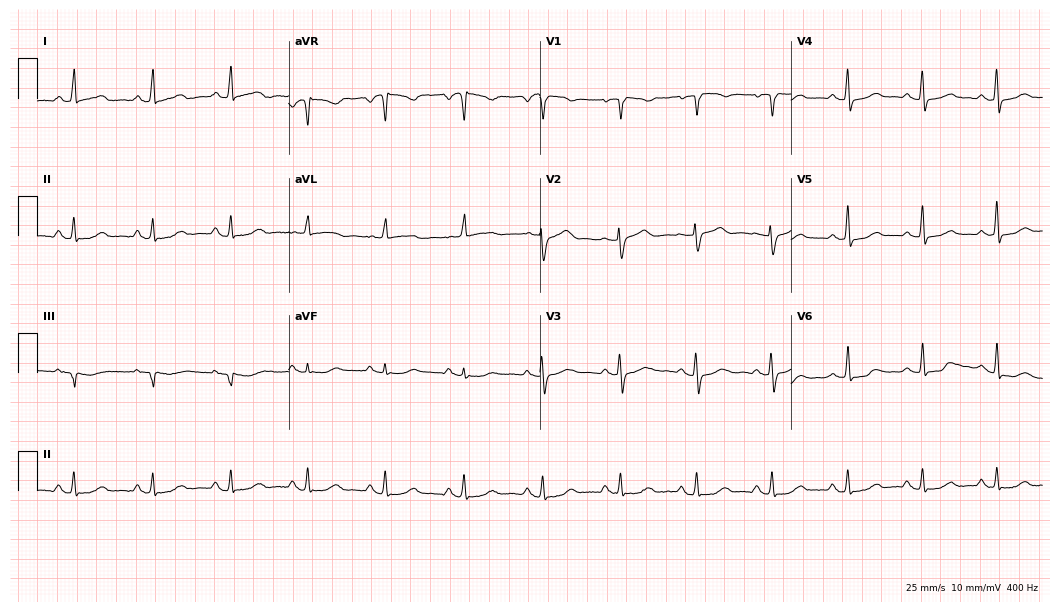
ECG — a woman, 52 years old. Labelled as a normal ECG.